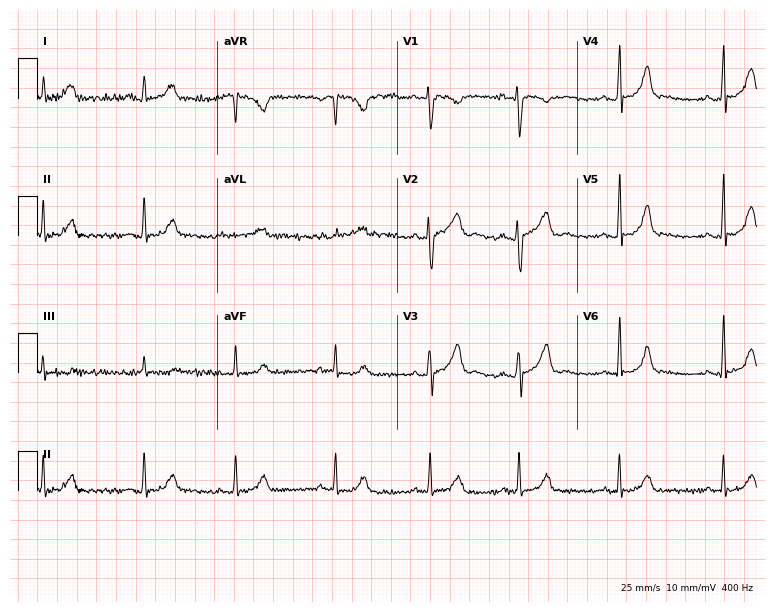
ECG (7.3-second recording at 400 Hz) — a female patient, 30 years old. Screened for six findings — first-degree AV block, right bundle branch block, left bundle branch block, sinus bradycardia, atrial fibrillation, sinus tachycardia — none is recorded.